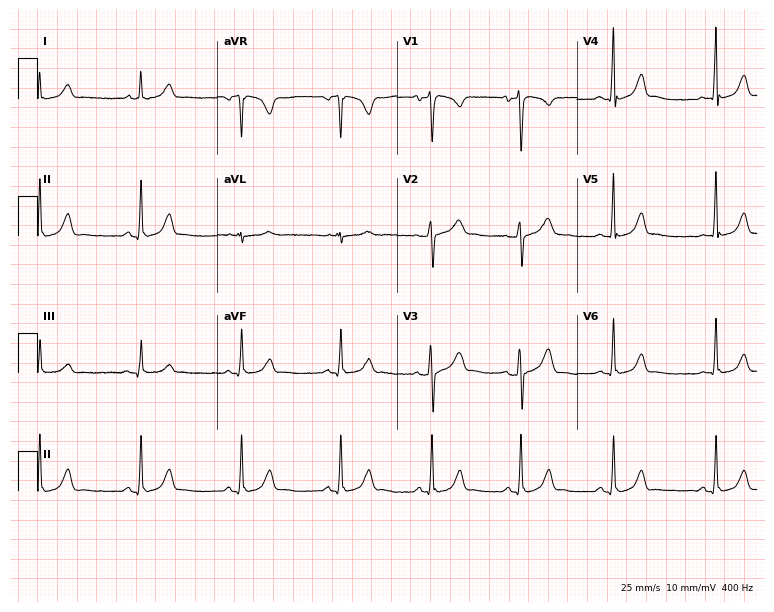
12-lead ECG from a 34-year-old man. Recorded interpretation: within normal limits.